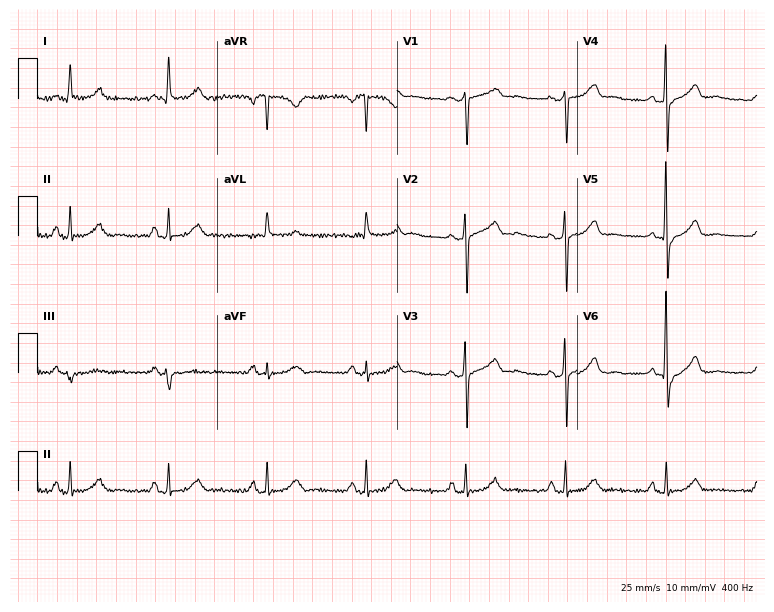
12-lead ECG (7.3-second recording at 400 Hz) from a man, 61 years old. Screened for six findings — first-degree AV block, right bundle branch block, left bundle branch block, sinus bradycardia, atrial fibrillation, sinus tachycardia — none is recorded. Findings outside these six are not listed.